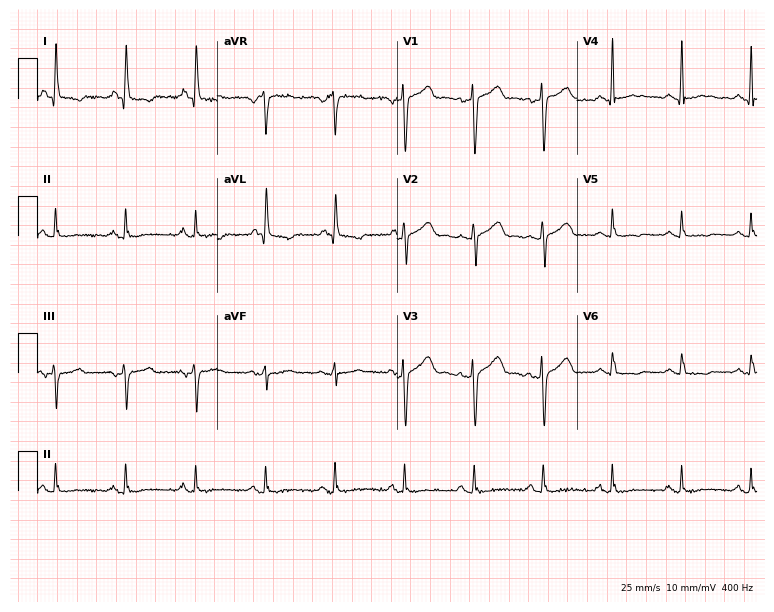
Resting 12-lead electrocardiogram. Patient: a 61-year-old female. None of these six findings is recorded: first-degree AV block, right bundle branch block (RBBB), left bundle branch block (LBBB), sinus bradycardia, atrial fibrillation (AF), sinus tachycardia. Other findings, if any, are not listed.